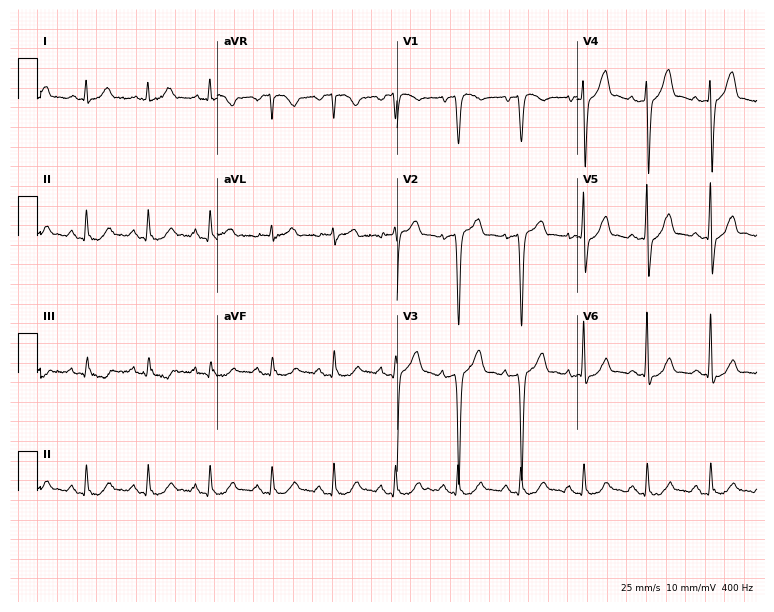
Standard 12-lead ECG recorded from a male, 79 years old (7.3-second recording at 400 Hz). Read as a normal ECG.